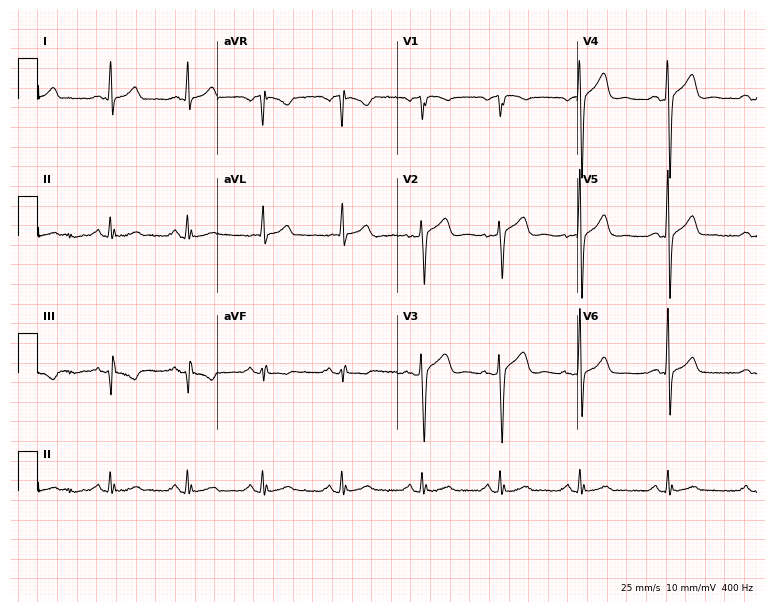
Resting 12-lead electrocardiogram. Patient: a male, 45 years old. Read as a normal ECG.